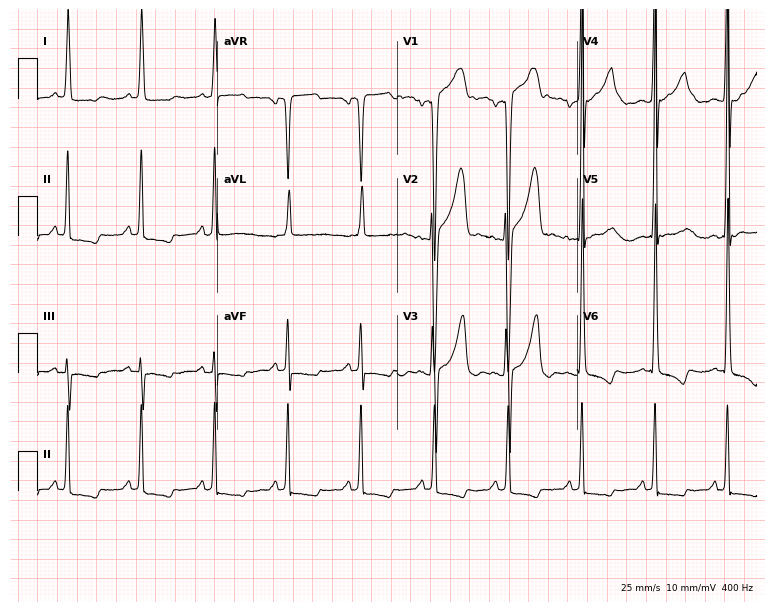
Resting 12-lead electrocardiogram (7.3-second recording at 400 Hz). Patient: a male, 22 years old. Read as a normal ECG.